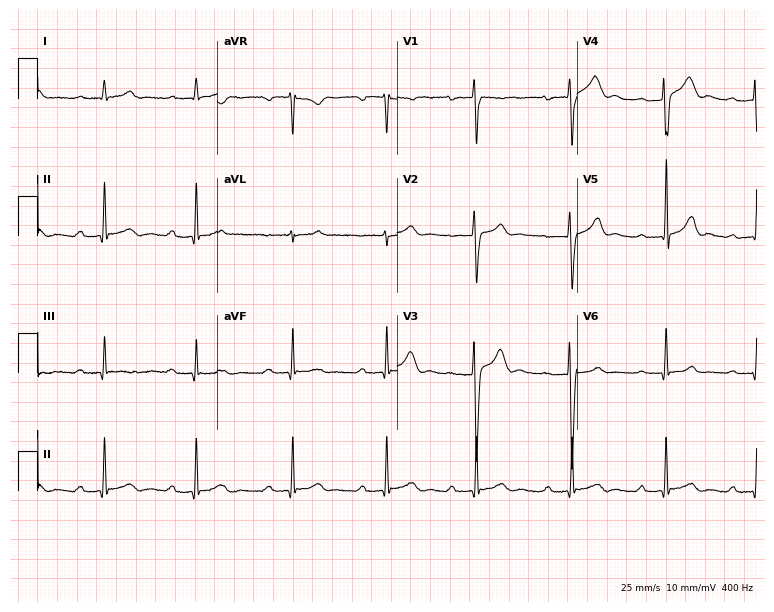
ECG — a male, 20 years old. Findings include first-degree AV block.